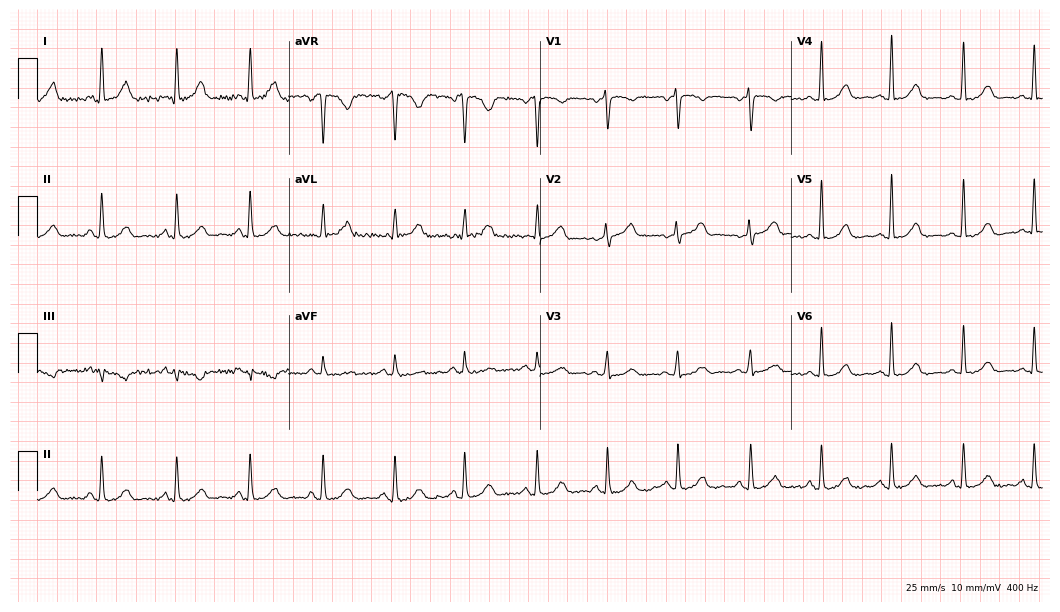
Standard 12-lead ECG recorded from a 44-year-old woman. Read as a normal ECG.